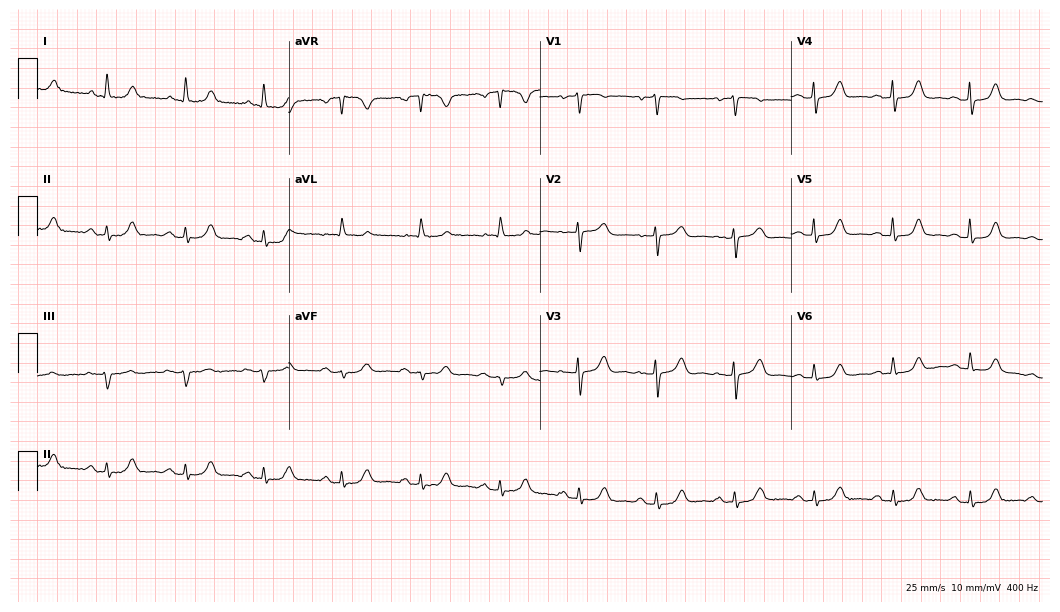
Resting 12-lead electrocardiogram. Patient: a 79-year-old female. Read as a normal ECG.